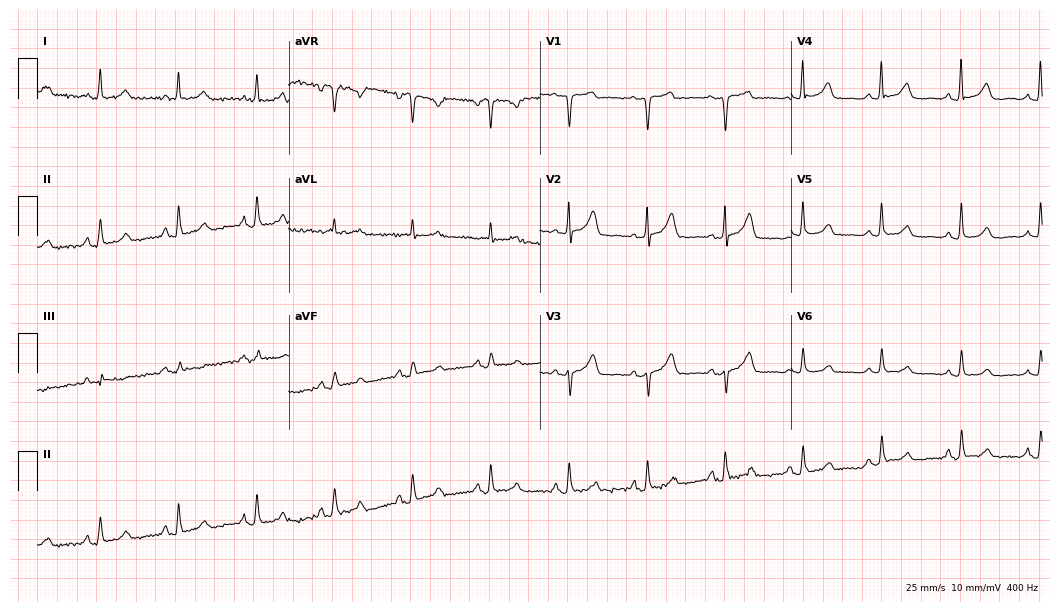
ECG (10.2-second recording at 400 Hz) — an 85-year-old woman. Labelled as a normal ECG.